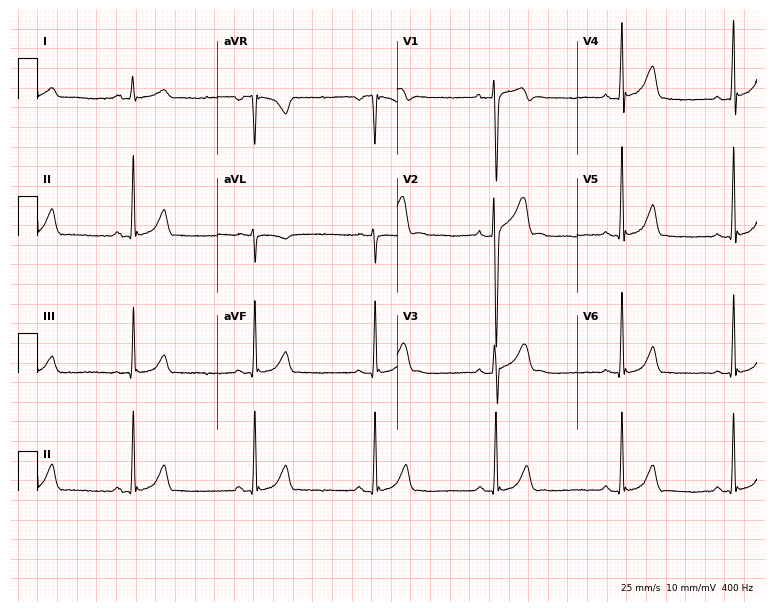
Electrocardiogram (7.3-second recording at 400 Hz), a man, 17 years old. Interpretation includes sinus bradycardia (a sinus rate of 50 beats per minute or less).